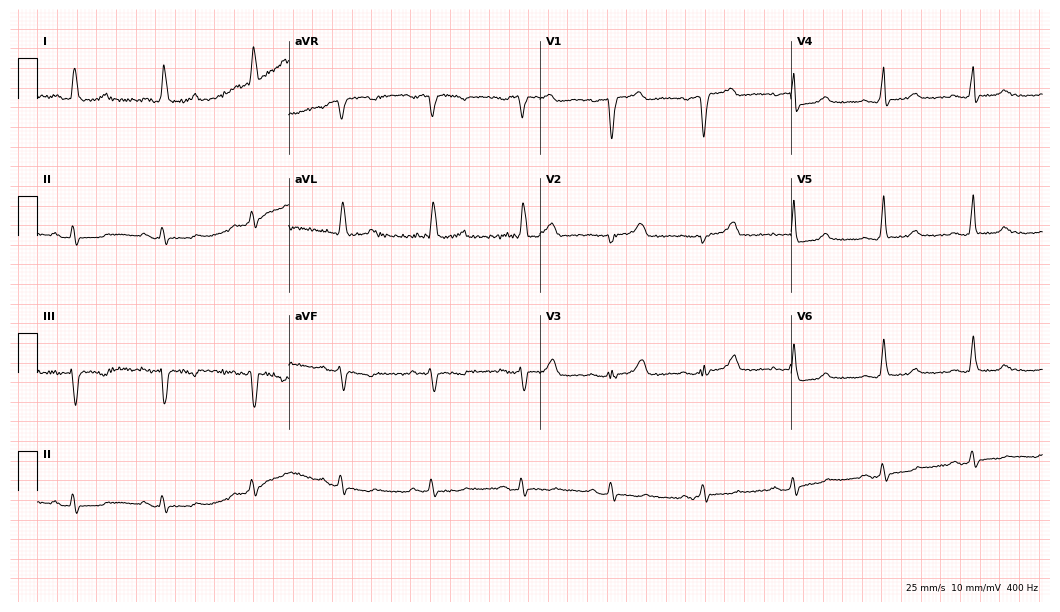
12-lead ECG (10.2-second recording at 400 Hz) from a female patient, 81 years old. Screened for six findings — first-degree AV block, right bundle branch block, left bundle branch block, sinus bradycardia, atrial fibrillation, sinus tachycardia — none is recorded.